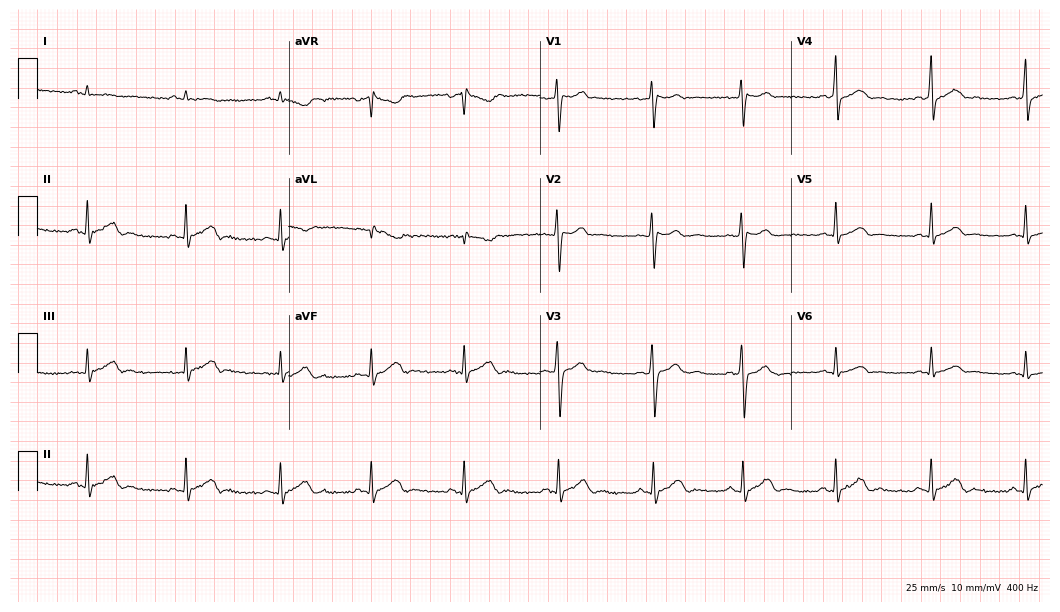
Resting 12-lead electrocardiogram (10.2-second recording at 400 Hz). Patient: an 18-year-old man. Read as a normal ECG.